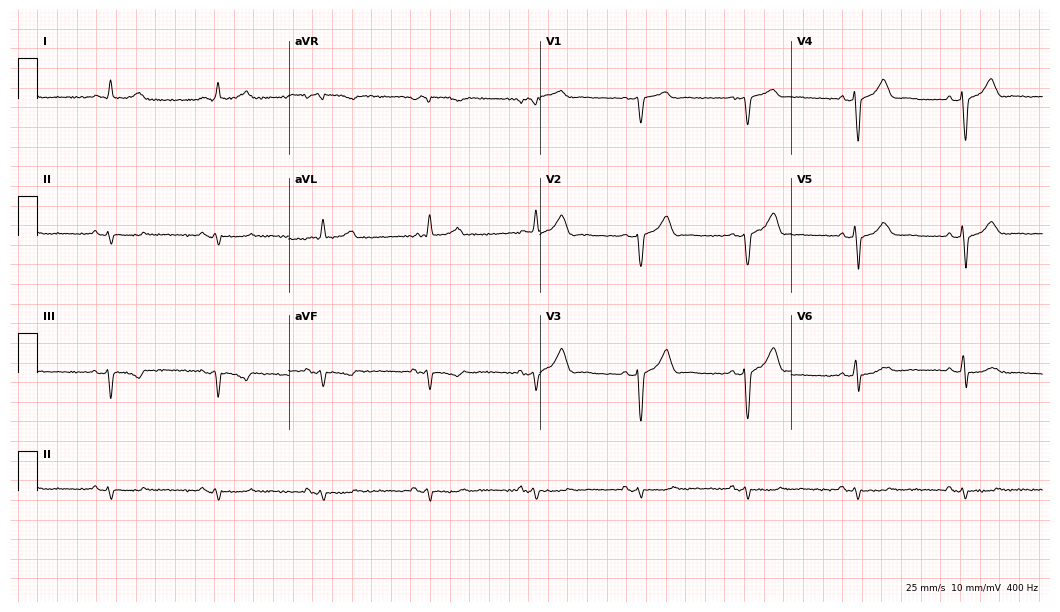
ECG (10.2-second recording at 400 Hz) — a man, 64 years old. Screened for six findings — first-degree AV block, right bundle branch block, left bundle branch block, sinus bradycardia, atrial fibrillation, sinus tachycardia — none is recorded.